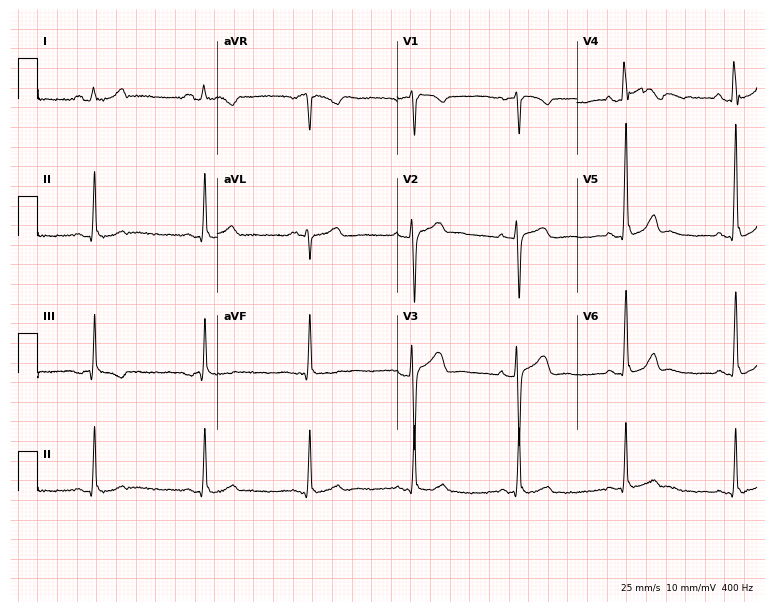
Standard 12-lead ECG recorded from a man, 25 years old. Read as a normal ECG.